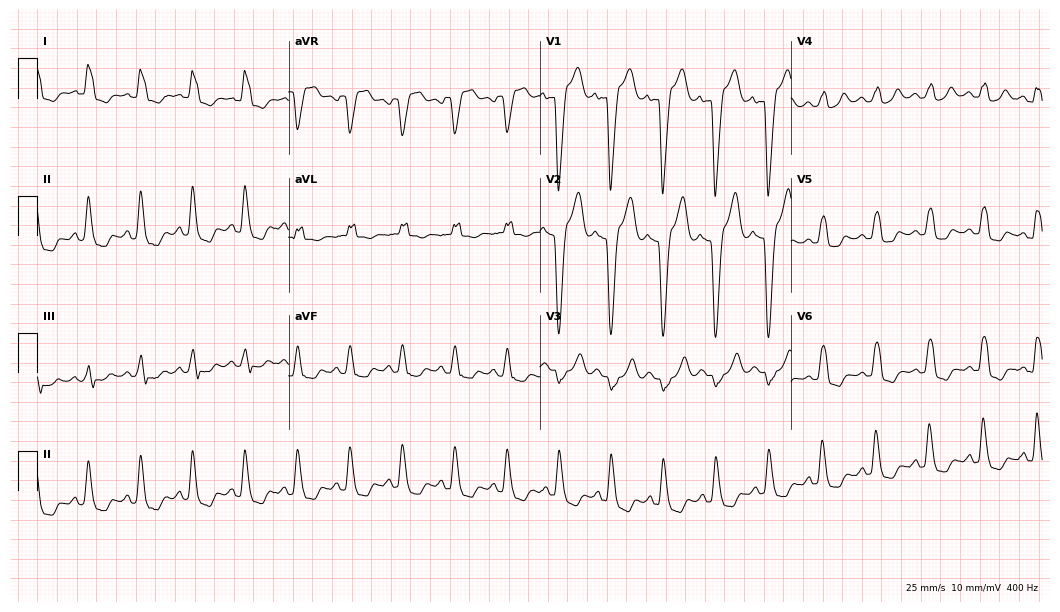
12-lead ECG (10.2-second recording at 400 Hz) from a 63-year-old female patient. Findings include left bundle branch block, sinus tachycardia (a sinus rate of 100 beats per minute or more).